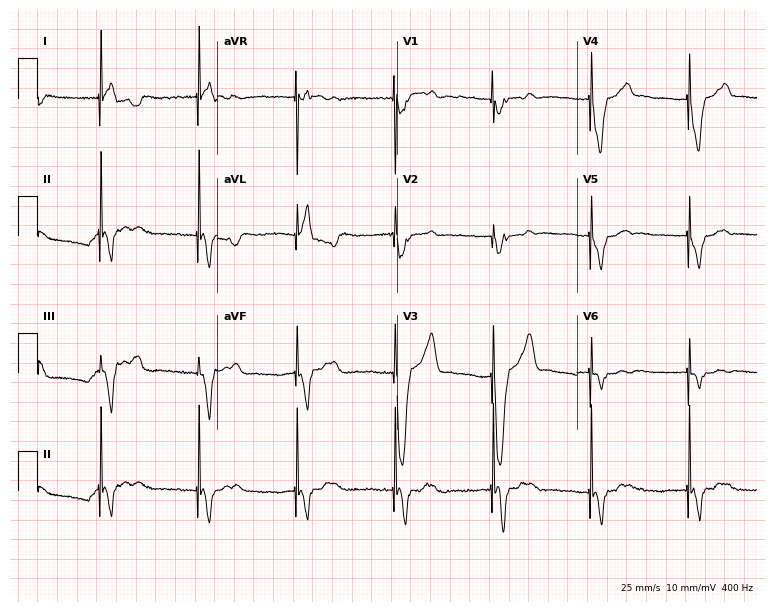
12-lead ECG from a woman, 86 years old (7.3-second recording at 400 Hz). No first-degree AV block, right bundle branch block (RBBB), left bundle branch block (LBBB), sinus bradycardia, atrial fibrillation (AF) or sinus tachycardia recorded for this tracing. Findings outside these six are not listed.